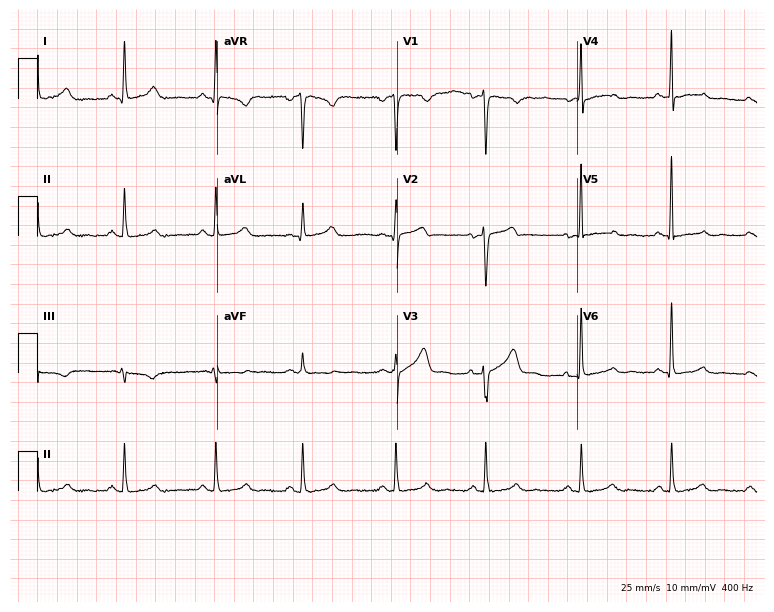
Electrocardiogram, a female patient, 47 years old. Overall reading on record: normal ECG.